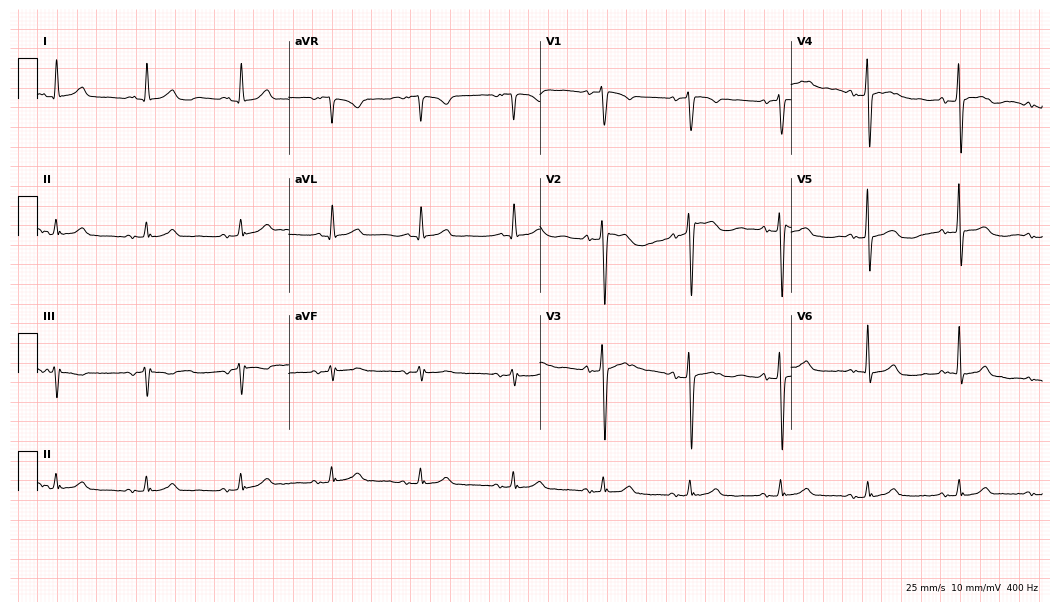
Electrocardiogram, a female patient, 82 years old. Of the six screened findings (first-degree AV block, right bundle branch block, left bundle branch block, sinus bradycardia, atrial fibrillation, sinus tachycardia), none is recorded. Other findings, if any, are not listed.